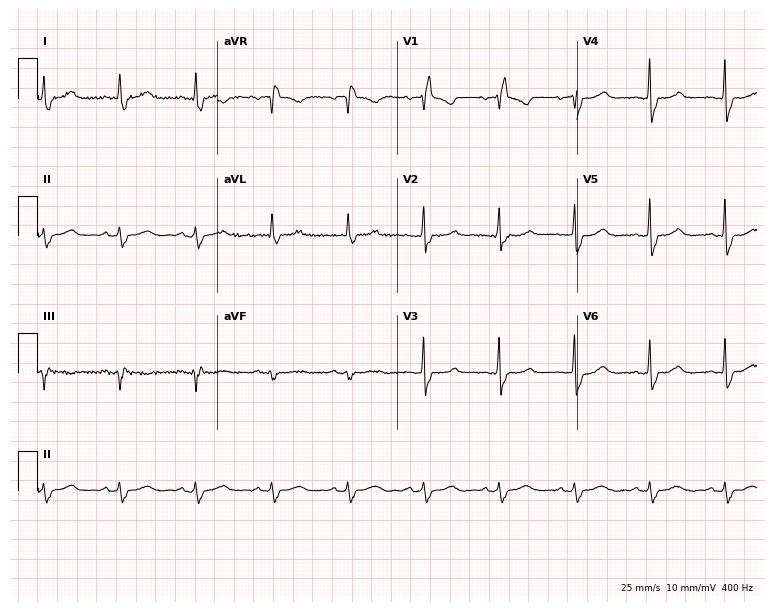
12-lead ECG from a female patient, 49 years old. Screened for six findings — first-degree AV block, right bundle branch block, left bundle branch block, sinus bradycardia, atrial fibrillation, sinus tachycardia — none is recorded.